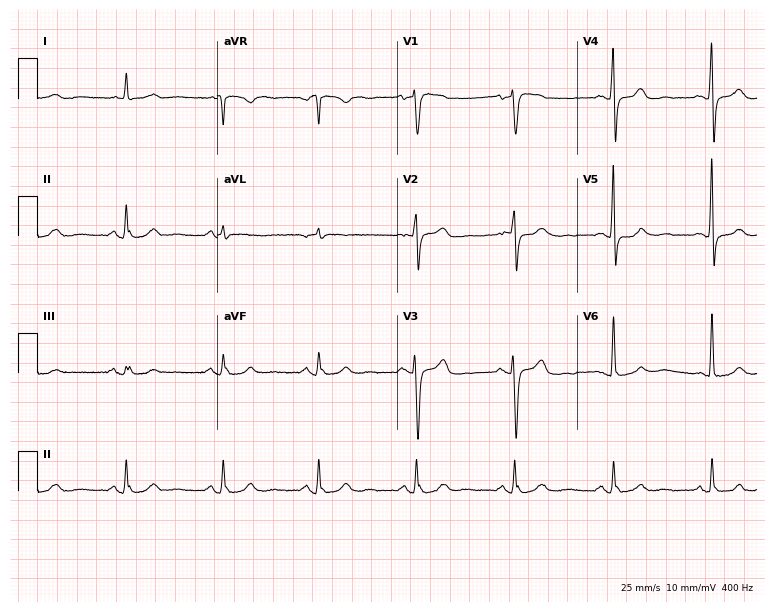
12-lead ECG from a male, 76 years old. Labelled as a normal ECG.